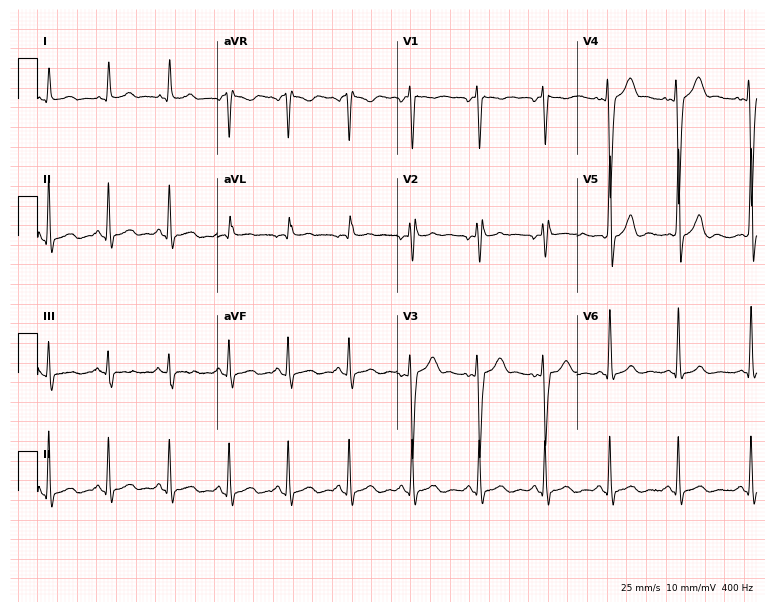
ECG (7.3-second recording at 400 Hz) — a 20-year-old male. Screened for six findings — first-degree AV block, right bundle branch block (RBBB), left bundle branch block (LBBB), sinus bradycardia, atrial fibrillation (AF), sinus tachycardia — none is recorded. Findings outside these six are not listed.